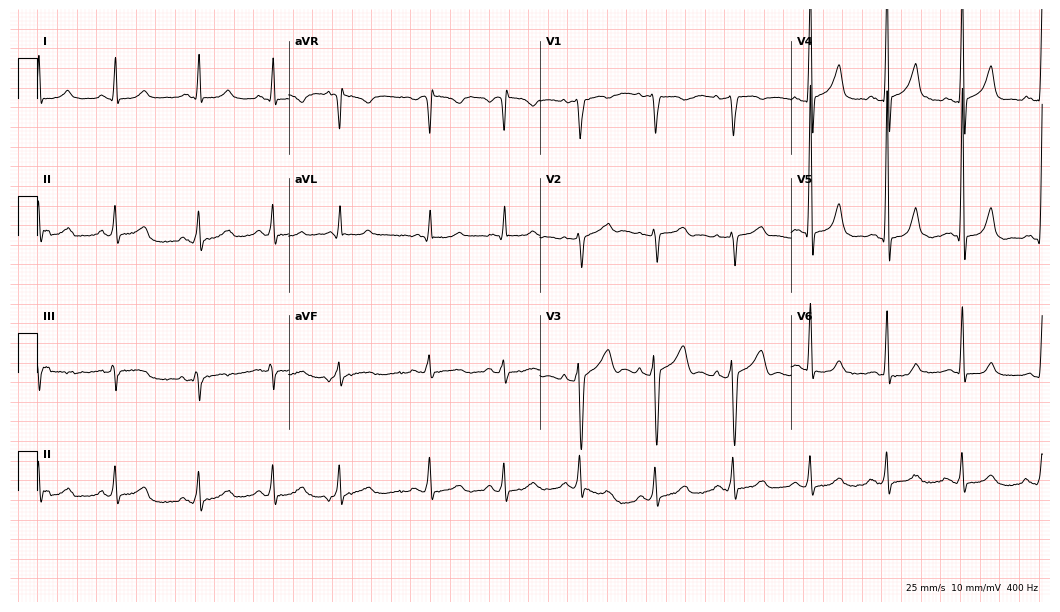
Resting 12-lead electrocardiogram (10.2-second recording at 400 Hz). Patient: a man, 67 years old. None of these six findings is recorded: first-degree AV block, right bundle branch block, left bundle branch block, sinus bradycardia, atrial fibrillation, sinus tachycardia. Other findings, if any, are not listed.